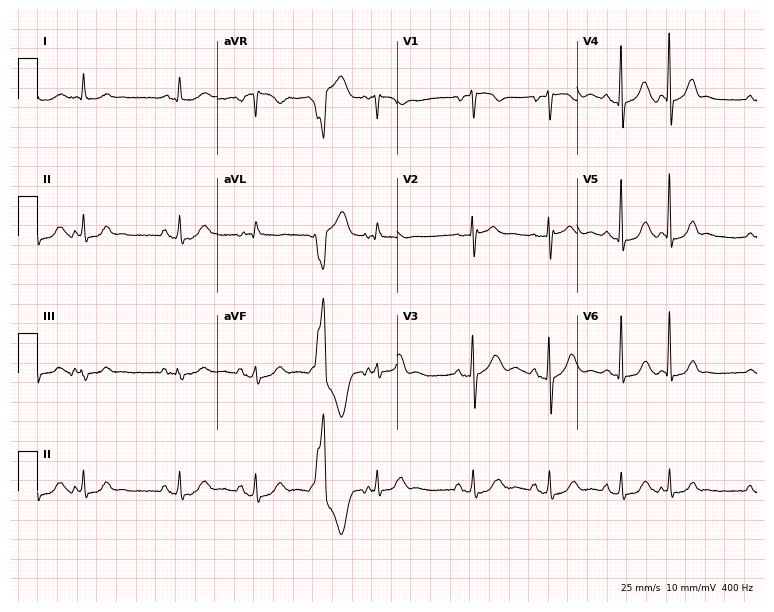
Resting 12-lead electrocardiogram. Patient: an 82-year-old man. None of these six findings is recorded: first-degree AV block, right bundle branch block, left bundle branch block, sinus bradycardia, atrial fibrillation, sinus tachycardia. Only these six findings were labelled.